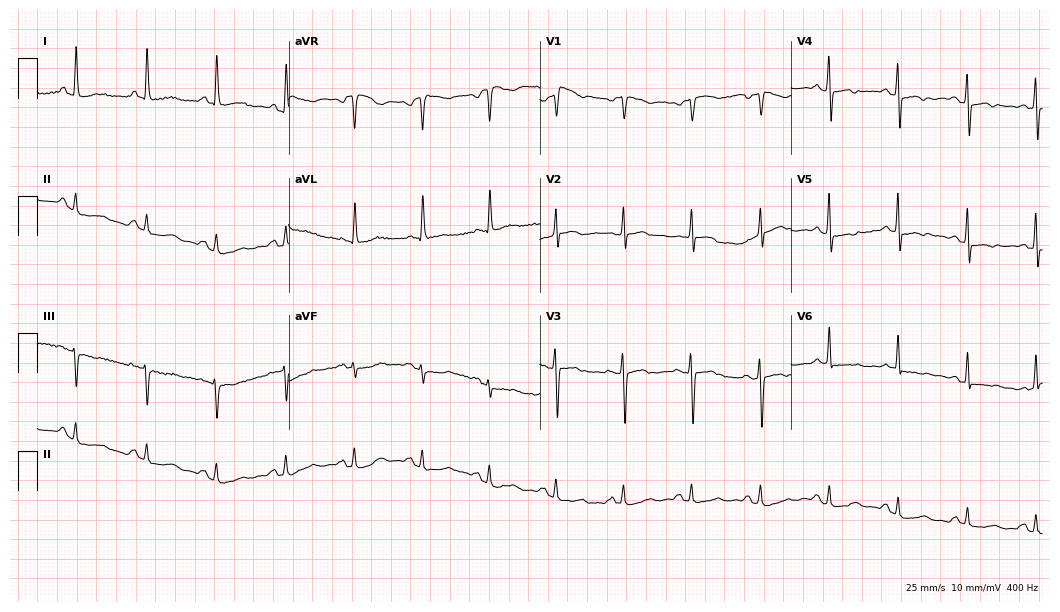
Standard 12-lead ECG recorded from a 59-year-old woman. None of these six findings is recorded: first-degree AV block, right bundle branch block, left bundle branch block, sinus bradycardia, atrial fibrillation, sinus tachycardia. Other findings, if any, are not listed.